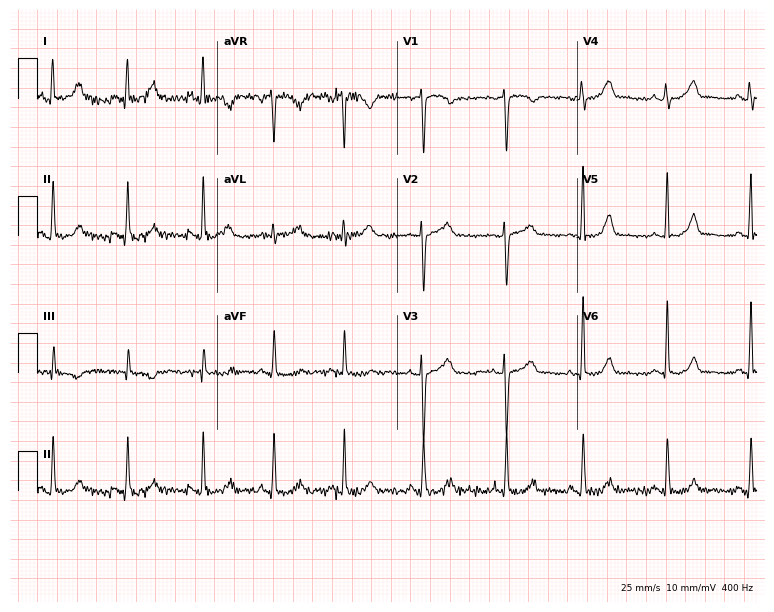
12-lead ECG from a woman, 41 years old (7.3-second recording at 400 Hz). Recorded interpretation: within normal limits.